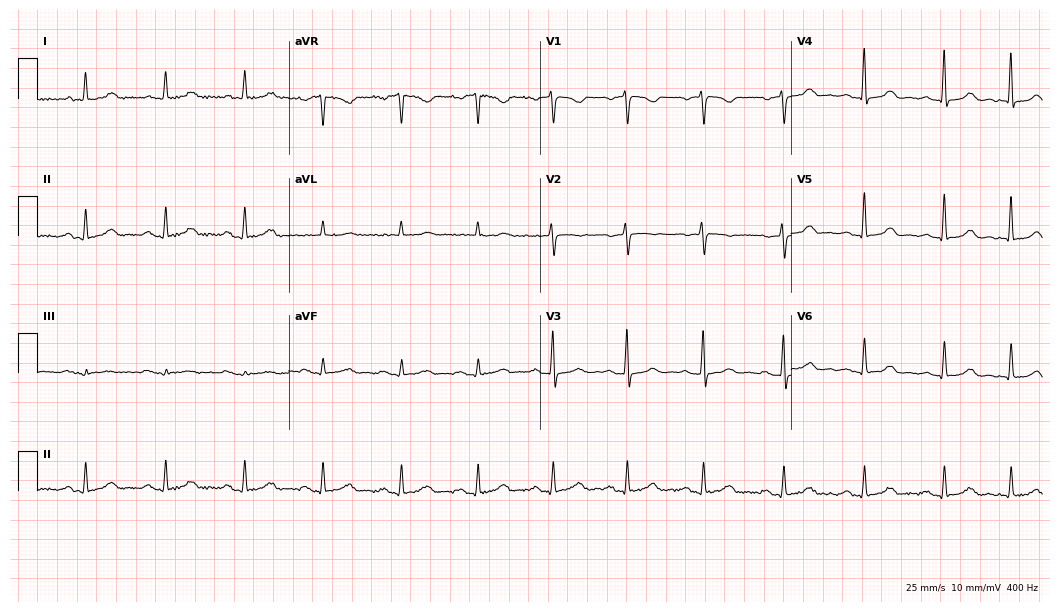
Standard 12-lead ECG recorded from a 63-year-old female patient. Read as a normal ECG.